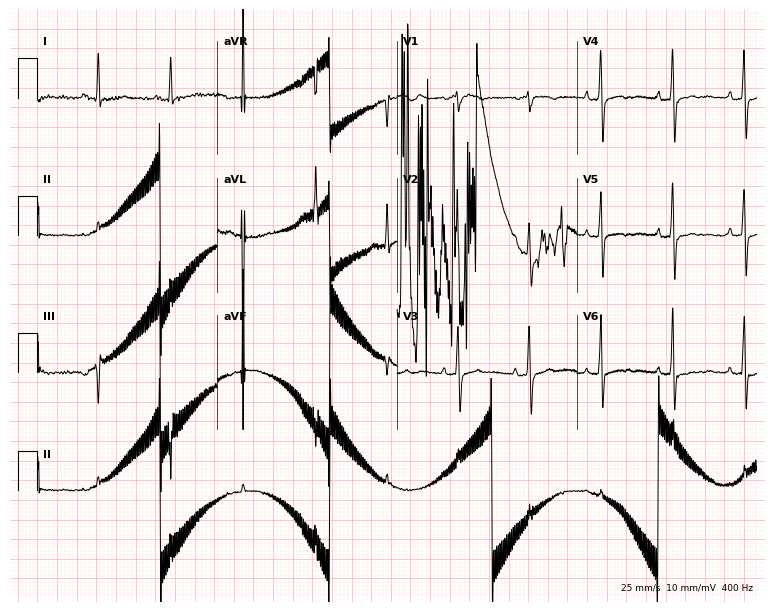
ECG — a woman, 68 years old. Screened for six findings — first-degree AV block, right bundle branch block, left bundle branch block, sinus bradycardia, atrial fibrillation, sinus tachycardia — none is recorded. Findings outside these six are not listed.